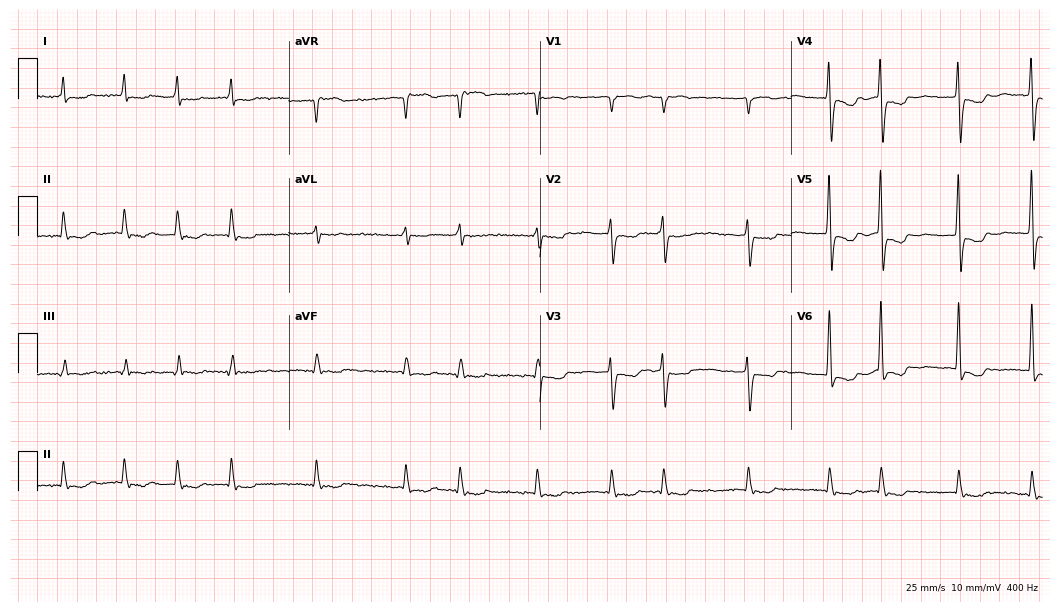
Electrocardiogram, an 81-year-old female. Interpretation includes atrial fibrillation.